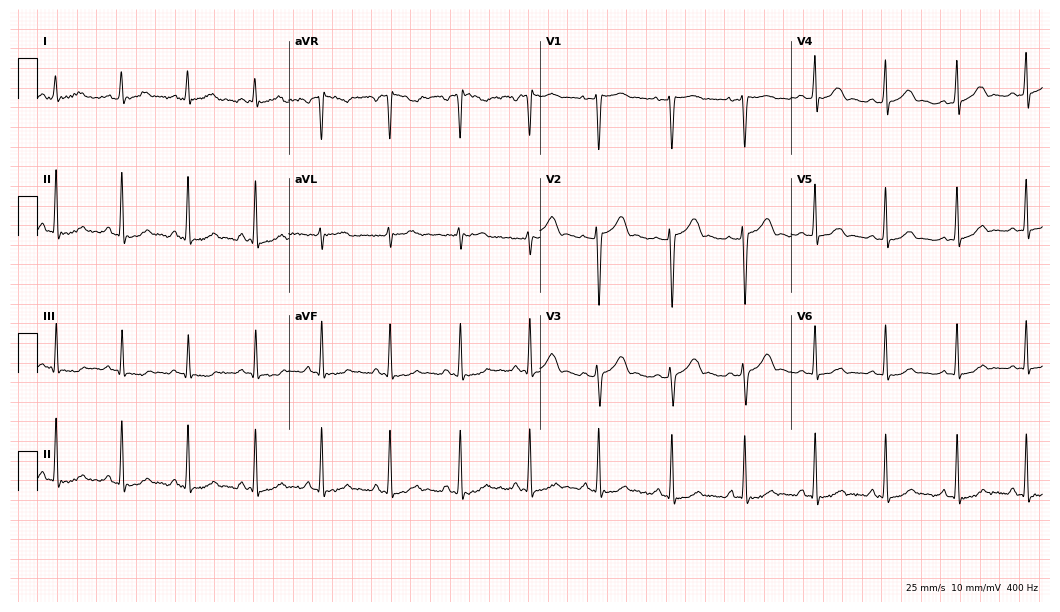
12-lead ECG (10.2-second recording at 400 Hz) from a woman, 35 years old. Labelled as a normal ECG.